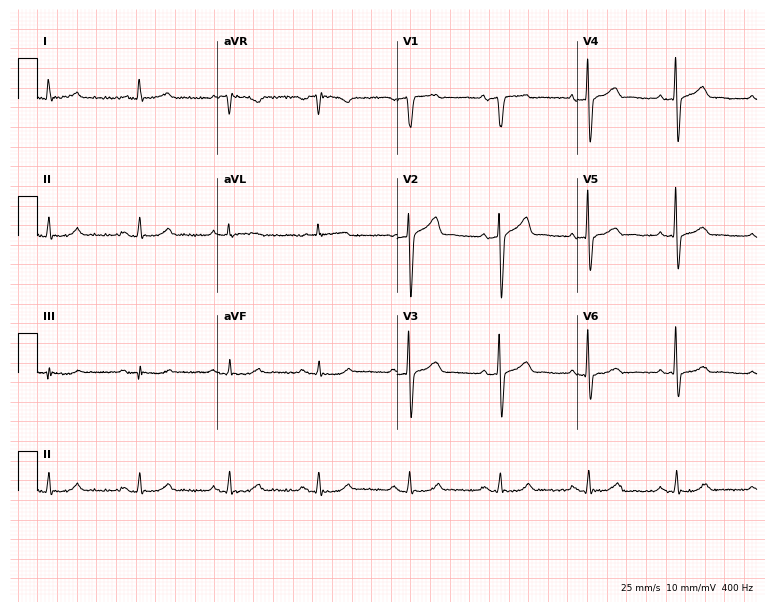
12-lead ECG from a 67-year-old male. No first-degree AV block, right bundle branch block, left bundle branch block, sinus bradycardia, atrial fibrillation or sinus tachycardia recorded for this tracing. Findings outside these six are not listed.